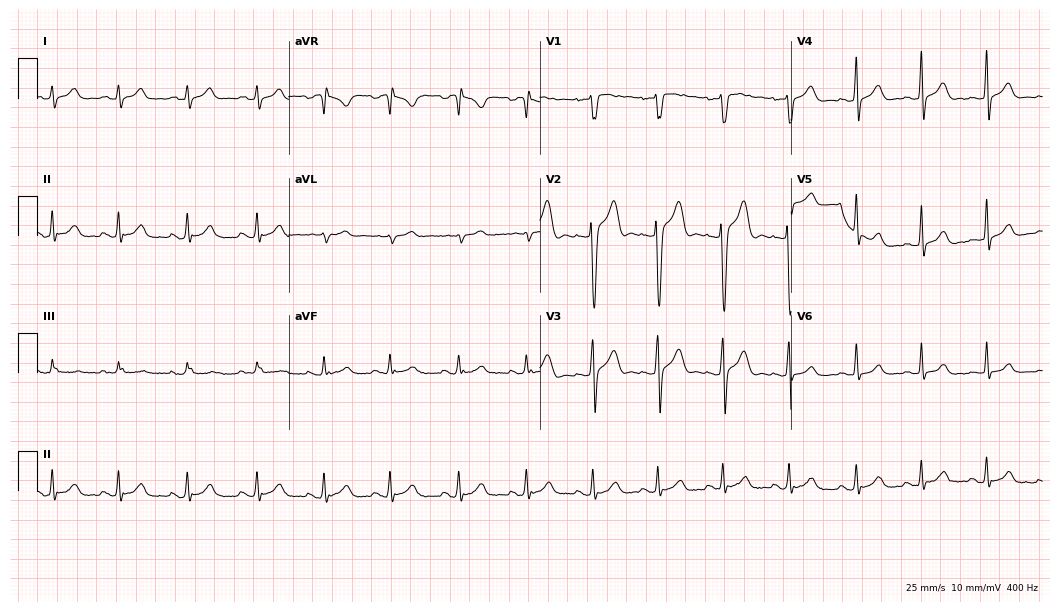
12-lead ECG from a male patient, 22 years old. Recorded interpretation: within normal limits.